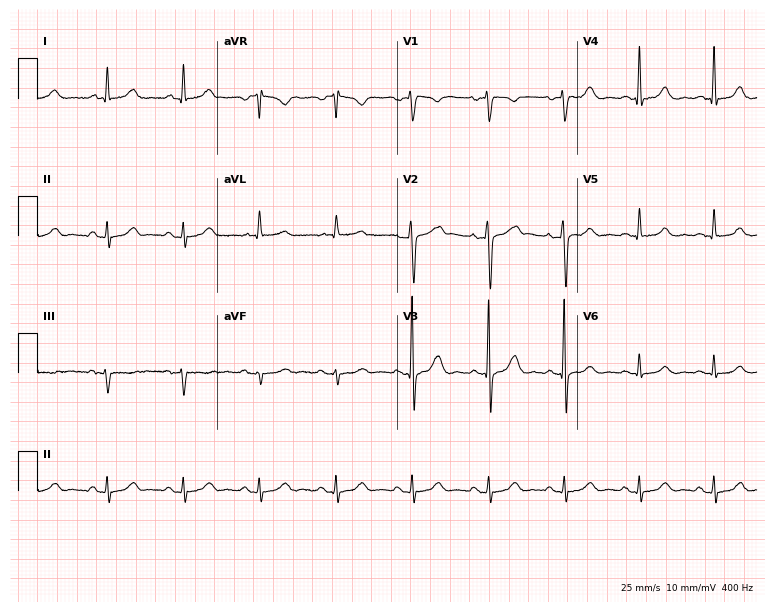
12-lead ECG from a 57-year-old male. Labelled as a normal ECG.